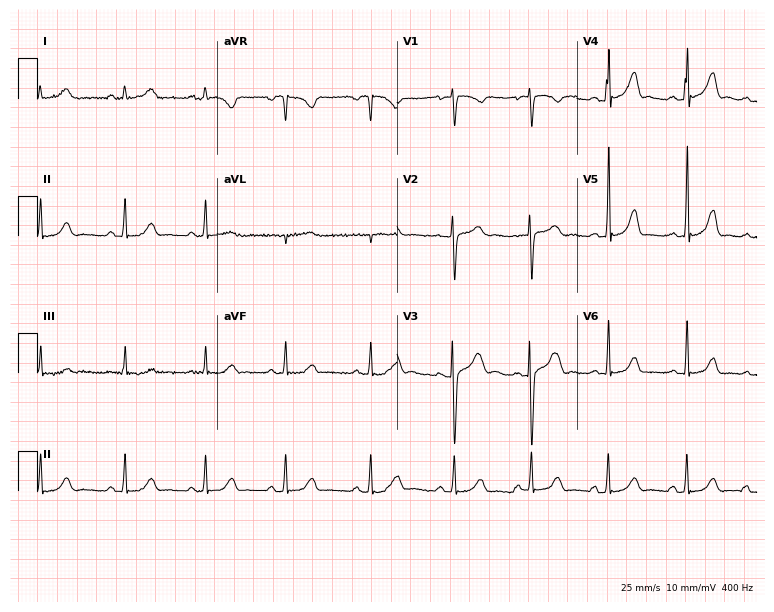
Standard 12-lead ECG recorded from a 22-year-old female patient. Read as a normal ECG.